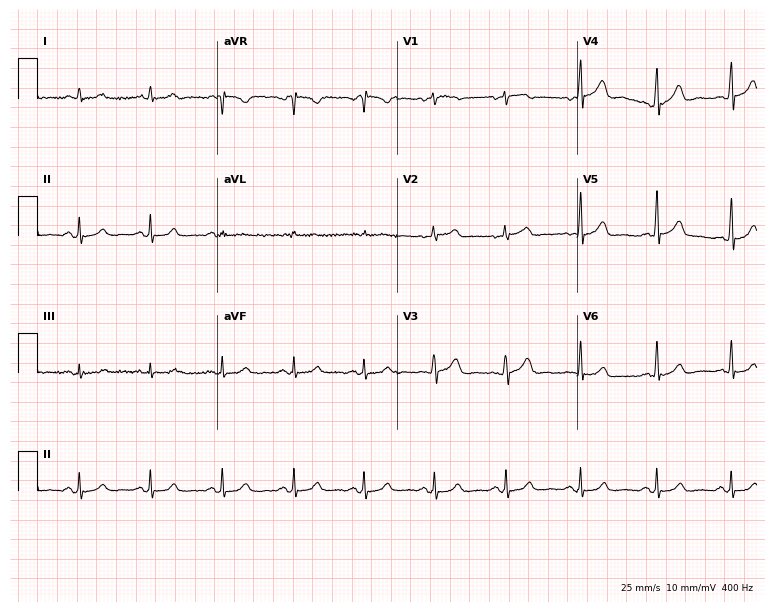
Standard 12-lead ECG recorded from a 52-year-old male (7.3-second recording at 400 Hz). None of these six findings is recorded: first-degree AV block, right bundle branch block, left bundle branch block, sinus bradycardia, atrial fibrillation, sinus tachycardia. Findings outside these six are not listed.